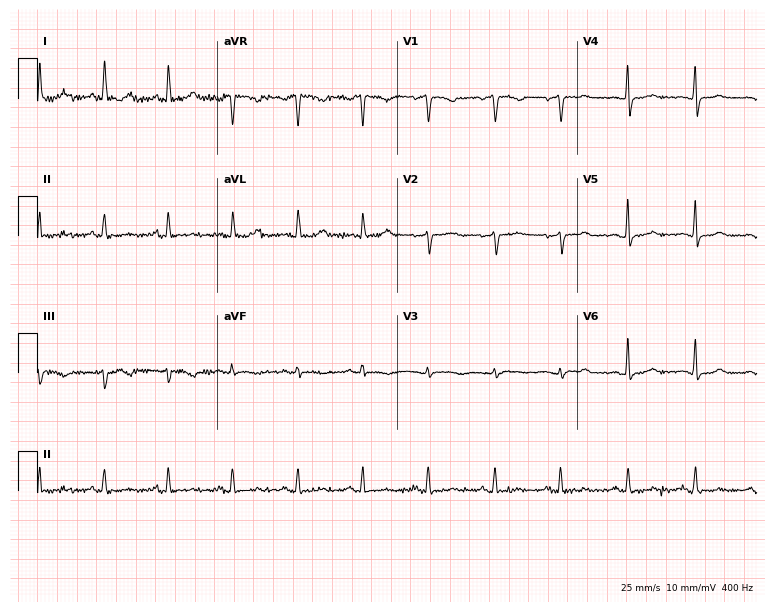
Resting 12-lead electrocardiogram. Patient: a 39-year-old female. Read as a normal ECG.